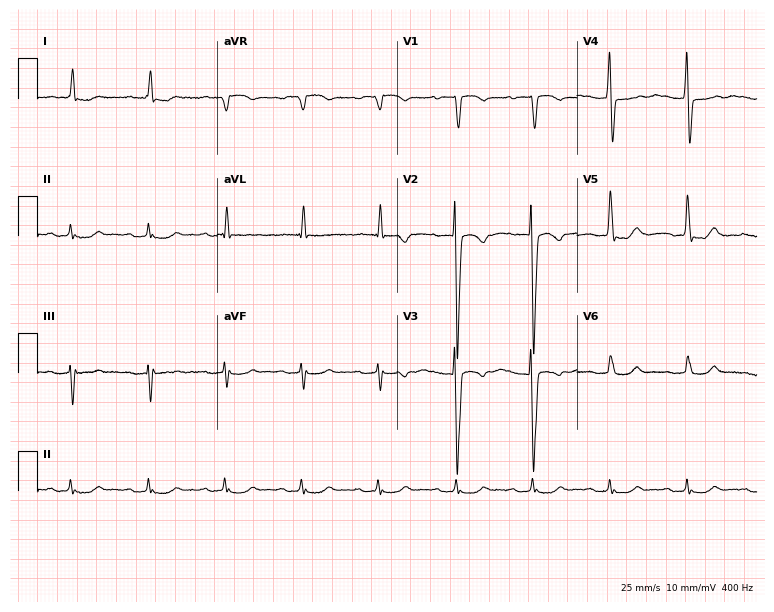
Standard 12-lead ECG recorded from a woman, 71 years old. The tracing shows first-degree AV block.